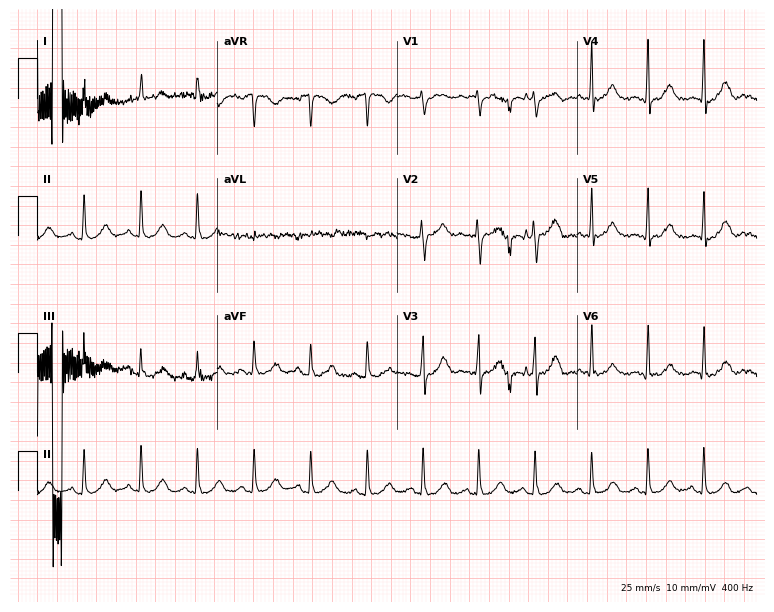
Resting 12-lead electrocardiogram (7.3-second recording at 400 Hz). Patient: a female, 24 years old. The tracing shows atrial fibrillation, sinus tachycardia (a sinus rate of 100 beats per minute or more).